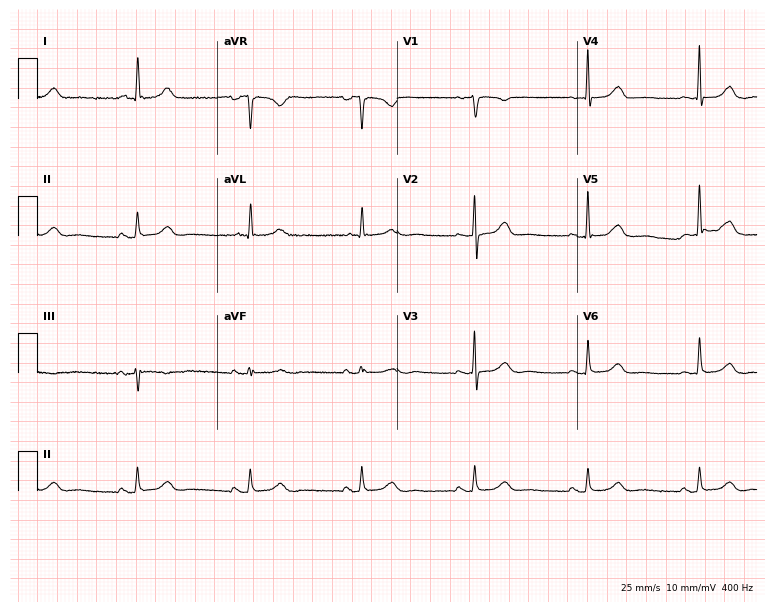
ECG — a woman, 76 years old. Labelled as a normal ECG.